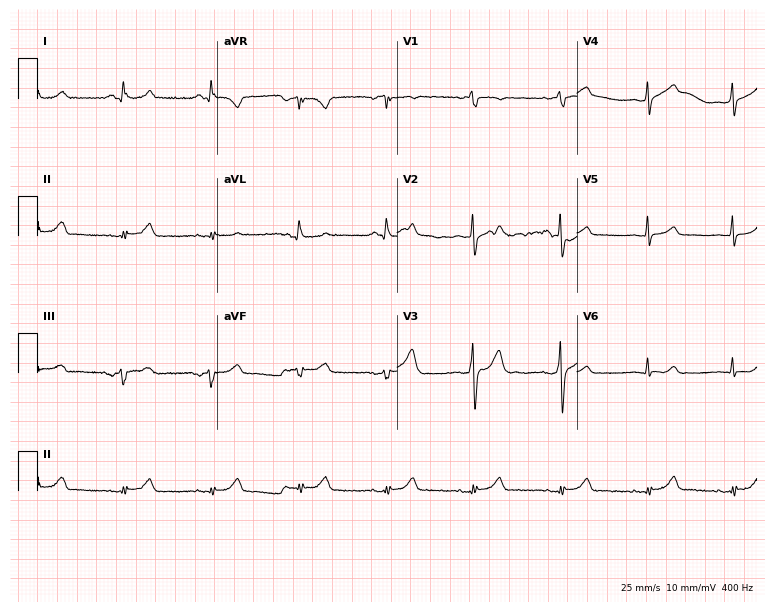
12-lead ECG (7.3-second recording at 400 Hz) from a man, 79 years old. Screened for six findings — first-degree AV block, right bundle branch block (RBBB), left bundle branch block (LBBB), sinus bradycardia, atrial fibrillation (AF), sinus tachycardia — none is recorded. Other findings, if any, are not listed.